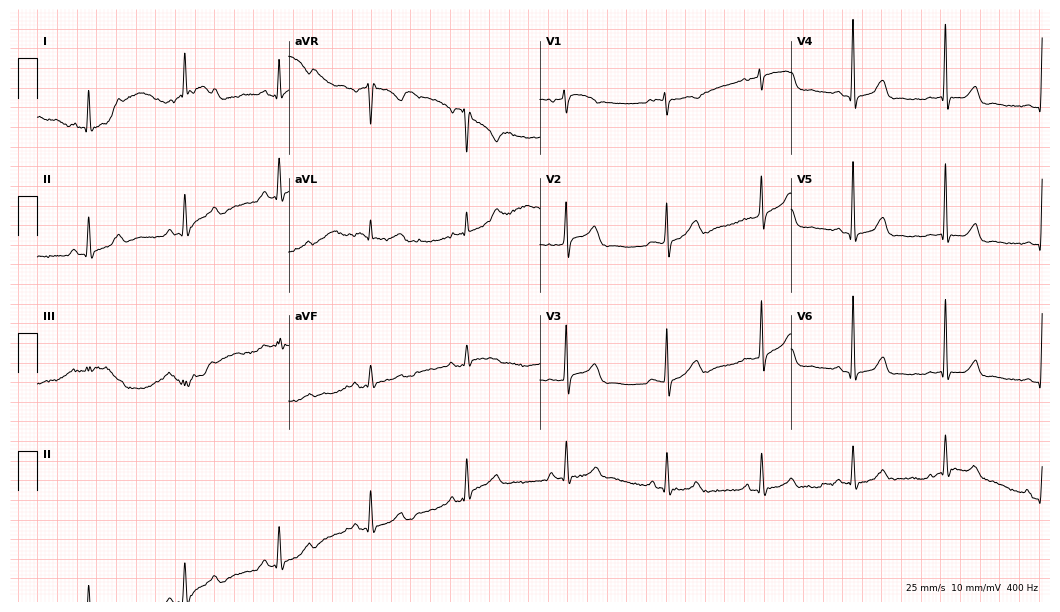
Resting 12-lead electrocardiogram (10.2-second recording at 400 Hz). Patient: a woman, 52 years old. Read as a normal ECG.